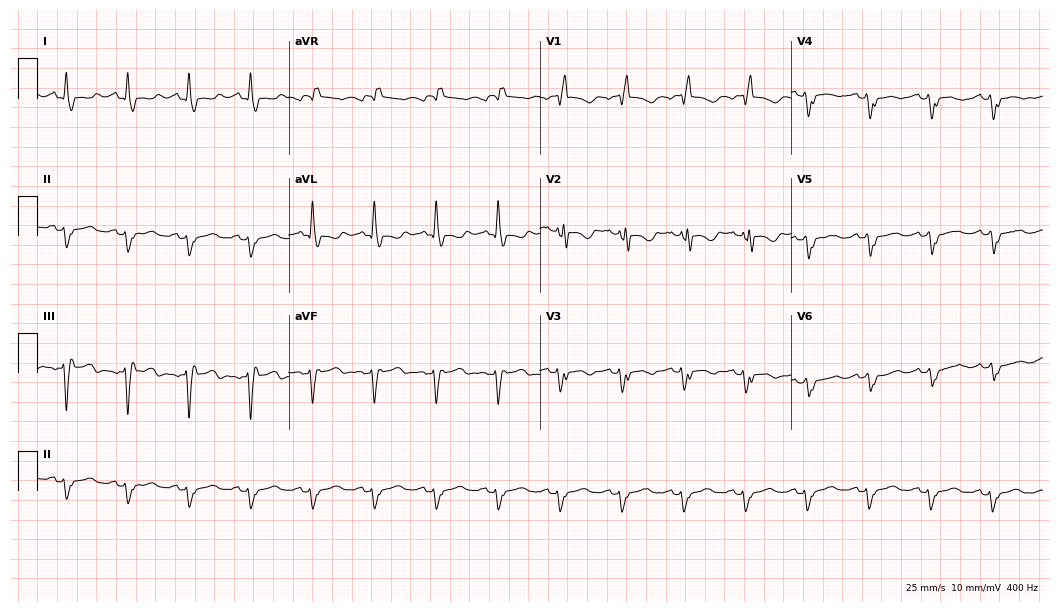
12-lead ECG from a 69-year-old female patient. Findings include right bundle branch block.